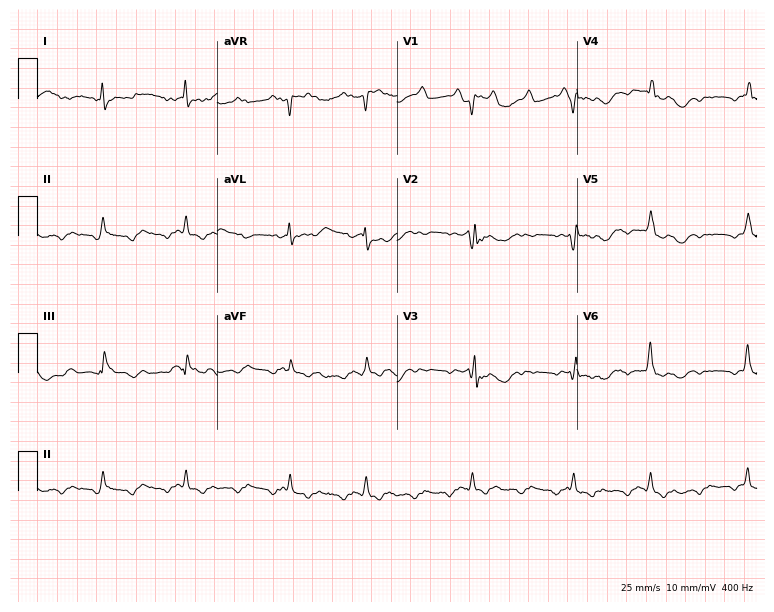
ECG (7.3-second recording at 400 Hz) — a 68-year-old man. Screened for six findings — first-degree AV block, right bundle branch block, left bundle branch block, sinus bradycardia, atrial fibrillation, sinus tachycardia — none is recorded.